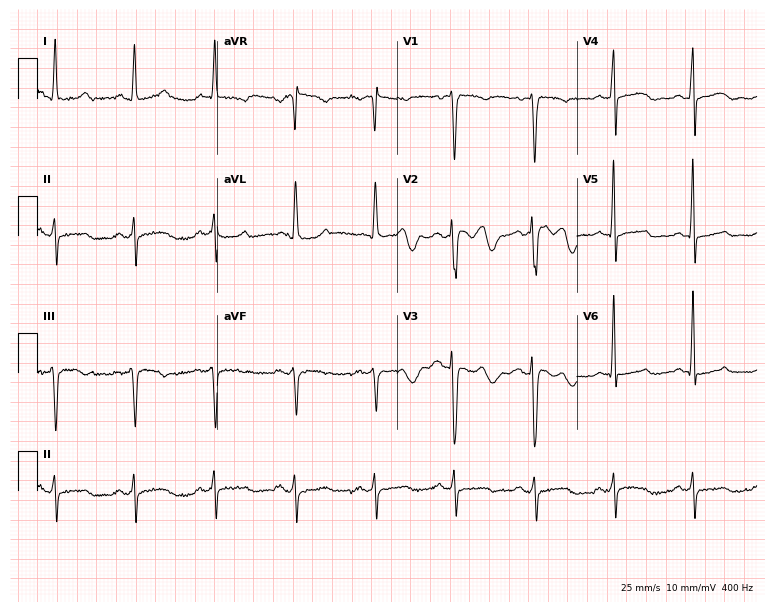
Resting 12-lead electrocardiogram. Patient: a 59-year-old woman. None of these six findings is recorded: first-degree AV block, right bundle branch block, left bundle branch block, sinus bradycardia, atrial fibrillation, sinus tachycardia.